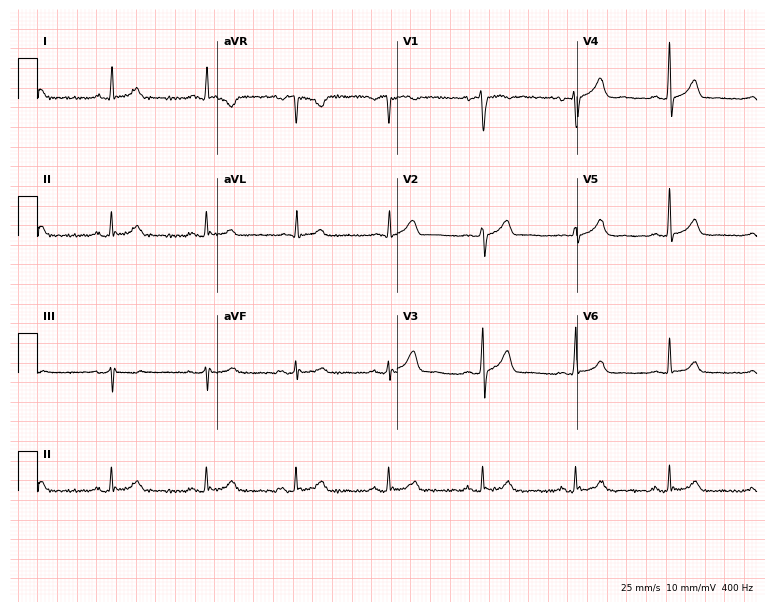
ECG (7.3-second recording at 400 Hz) — a 40-year-old man. Labelled as a normal ECG.